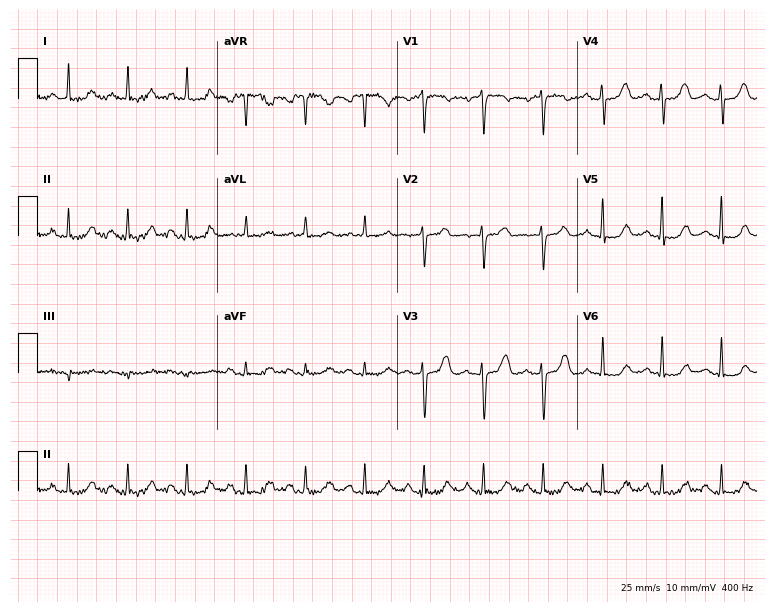
Standard 12-lead ECG recorded from a 40-year-old woman (7.3-second recording at 400 Hz). None of these six findings is recorded: first-degree AV block, right bundle branch block (RBBB), left bundle branch block (LBBB), sinus bradycardia, atrial fibrillation (AF), sinus tachycardia. Other findings, if any, are not listed.